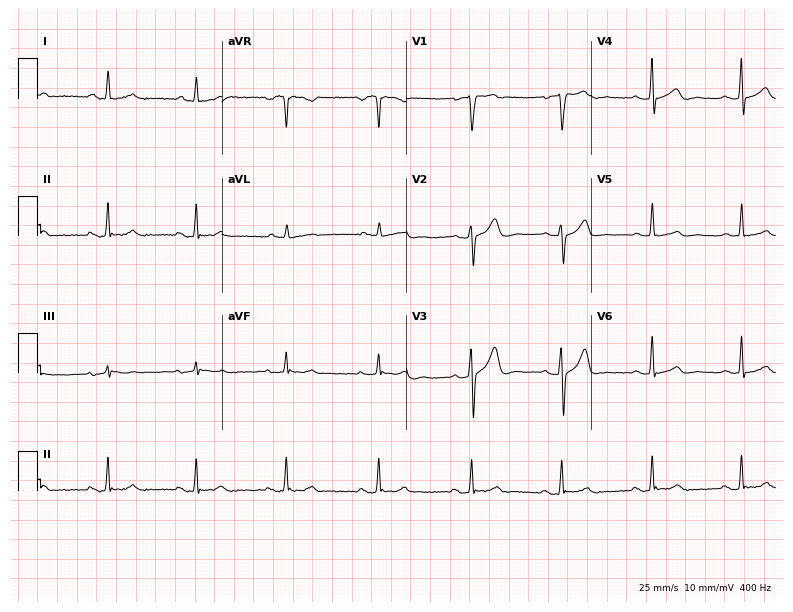
Standard 12-lead ECG recorded from a 35-year-old male patient. None of these six findings is recorded: first-degree AV block, right bundle branch block, left bundle branch block, sinus bradycardia, atrial fibrillation, sinus tachycardia. Only these six findings were labelled.